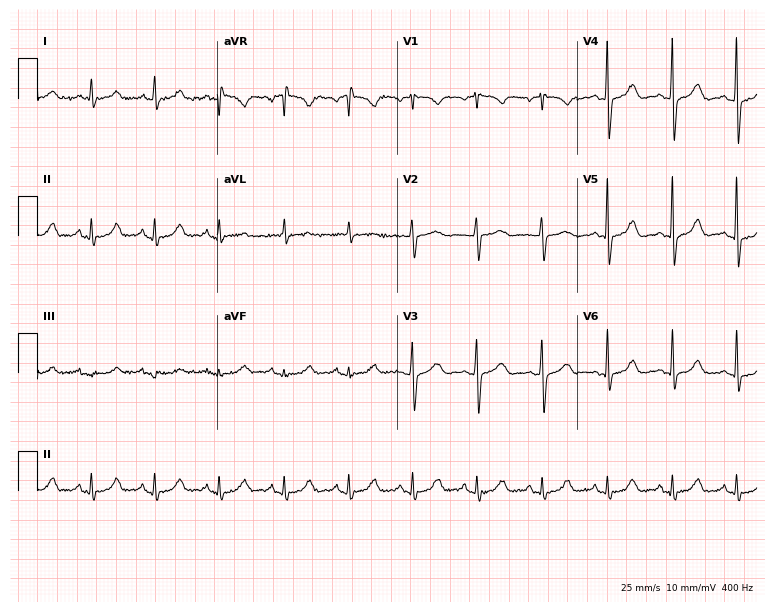
Resting 12-lead electrocardiogram. Patient: a woman, 61 years old. None of these six findings is recorded: first-degree AV block, right bundle branch block, left bundle branch block, sinus bradycardia, atrial fibrillation, sinus tachycardia. Only these six findings were labelled.